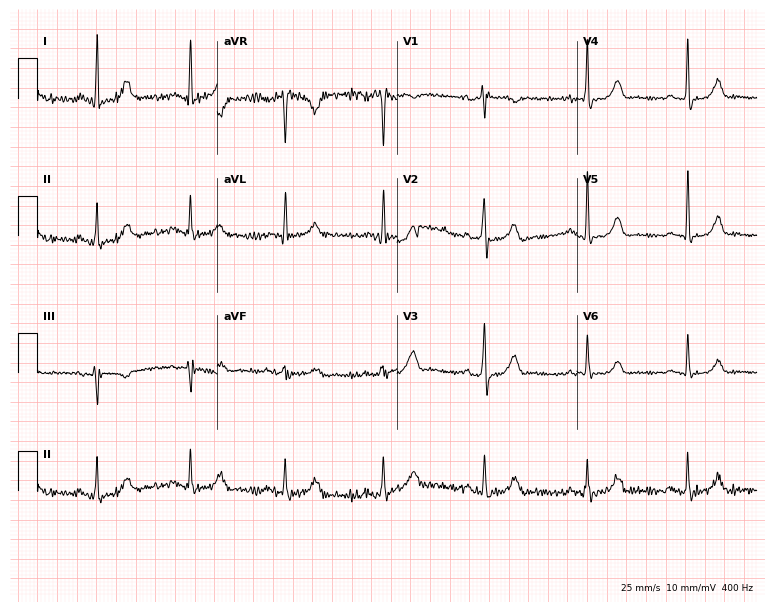
ECG (7.3-second recording at 400 Hz) — a female patient, 53 years old. Labelled as a normal ECG.